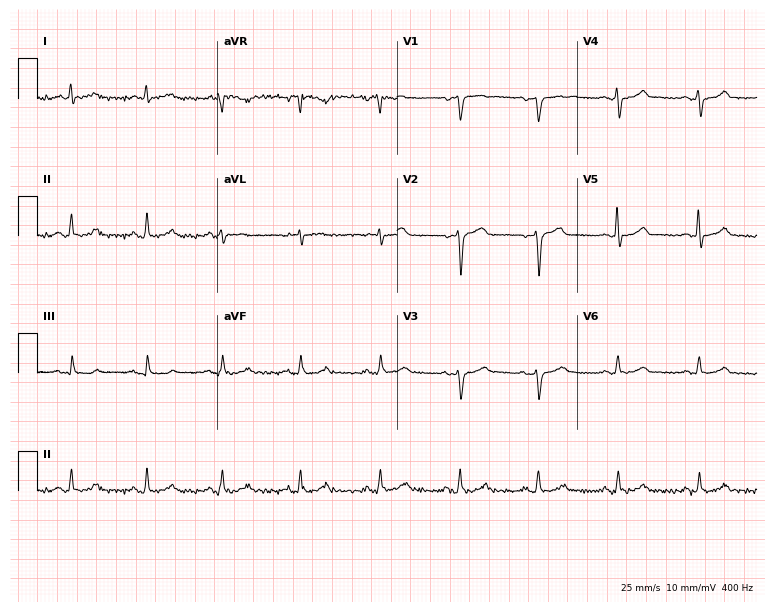
Resting 12-lead electrocardiogram (7.3-second recording at 400 Hz). Patient: a 61-year-old male. None of these six findings is recorded: first-degree AV block, right bundle branch block, left bundle branch block, sinus bradycardia, atrial fibrillation, sinus tachycardia.